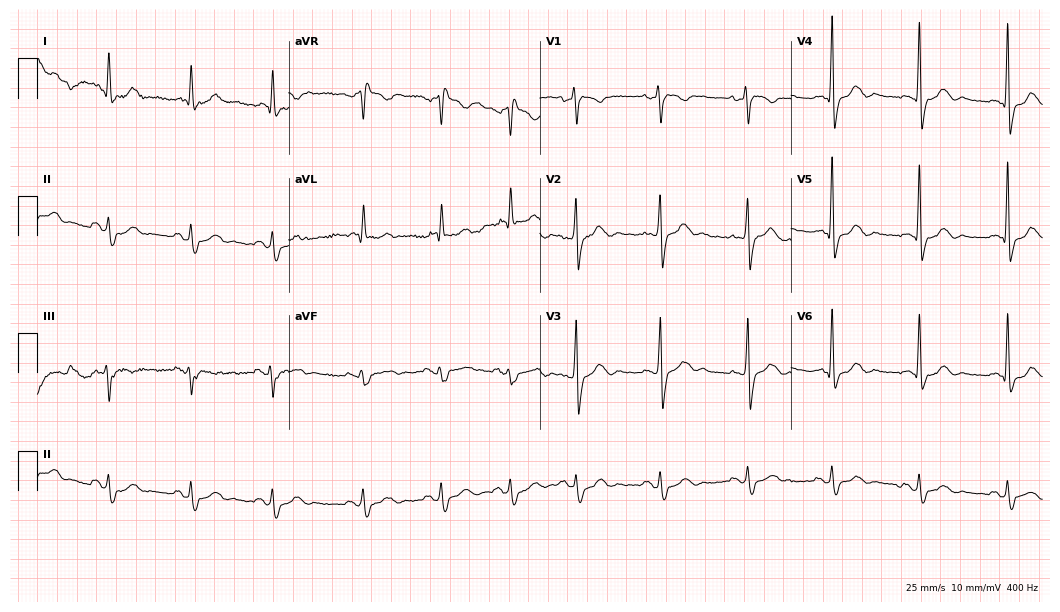
12-lead ECG (10.2-second recording at 400 Hz) from a male patient, 62 years old. Findings include right bundle branch block.